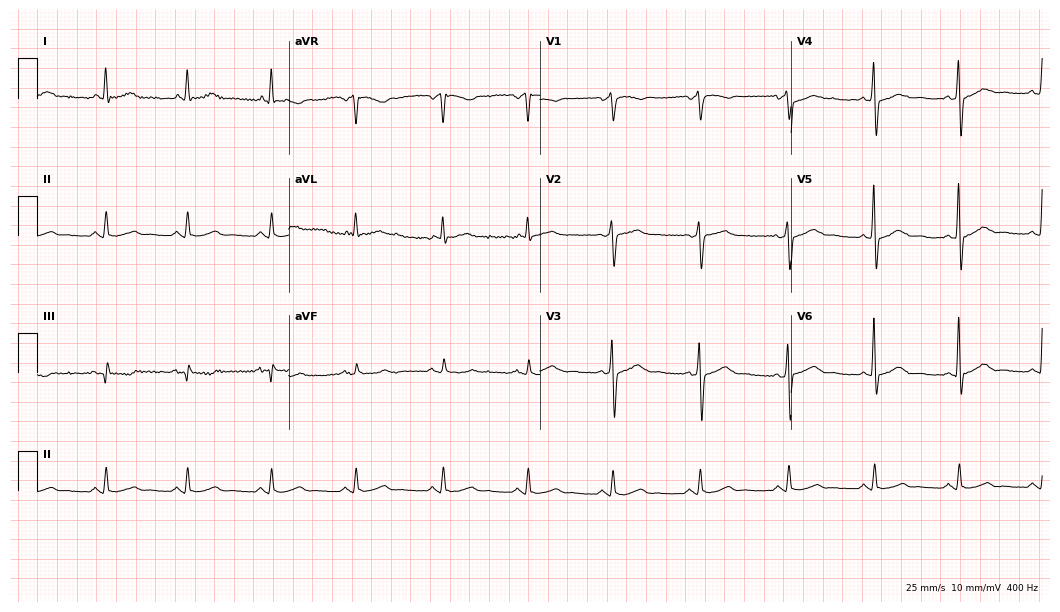
12-lead ECG (10.2-second recording at 400 Hz) from a 67-year-old male. Screened for six findings — first-degree AV block, right bundle branch block, left bundle branch block, sinus bradycardia, atrial fibrillation, sinus tachycardia — none is recorded.